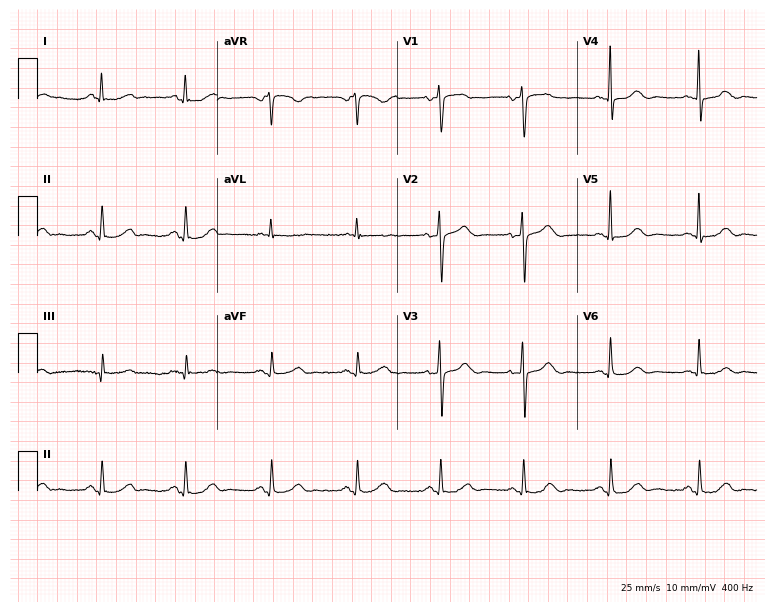
Electrocardiogram (7.3-second recording at 400 Hz), a 55-year-old female patient. Overall reading on record: normal ECG.